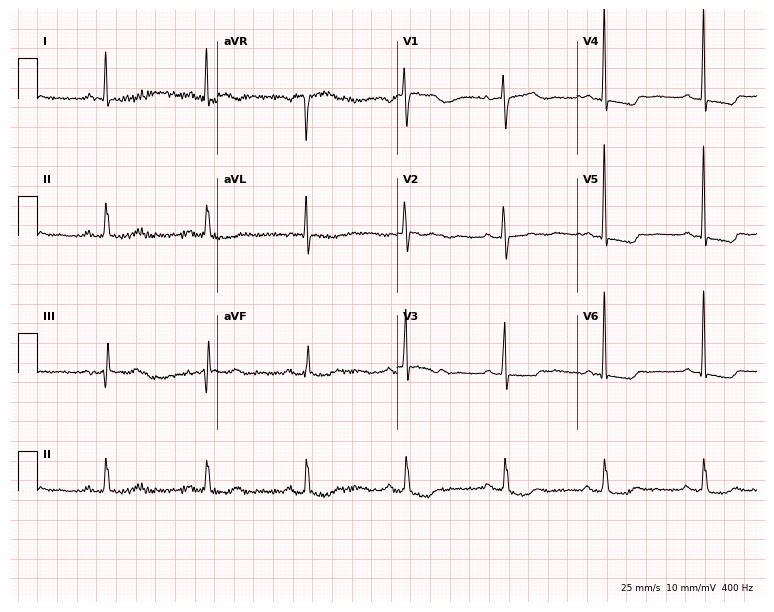
Electrocardiogram (7.3-second recording at 400 Hz), a female patient, 75 years old. Of the six screened findings (first-degree AV block, right bundle branch block, left bundle branch block, sinus bradycardia, atrial fibrillation, sinus tachycardia), none is recorded. Only these six findings were labelled.